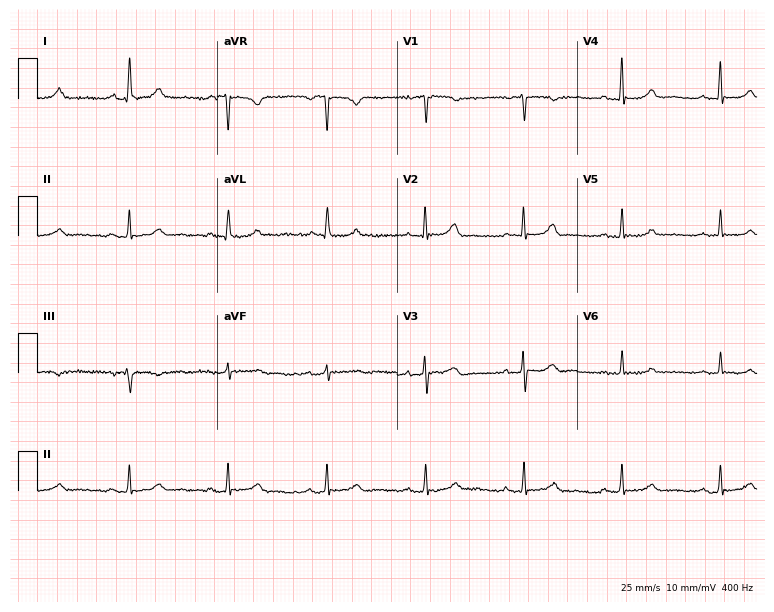
12-lead ECG from a 76-year-old female patient. Labelled as a normal ECG.